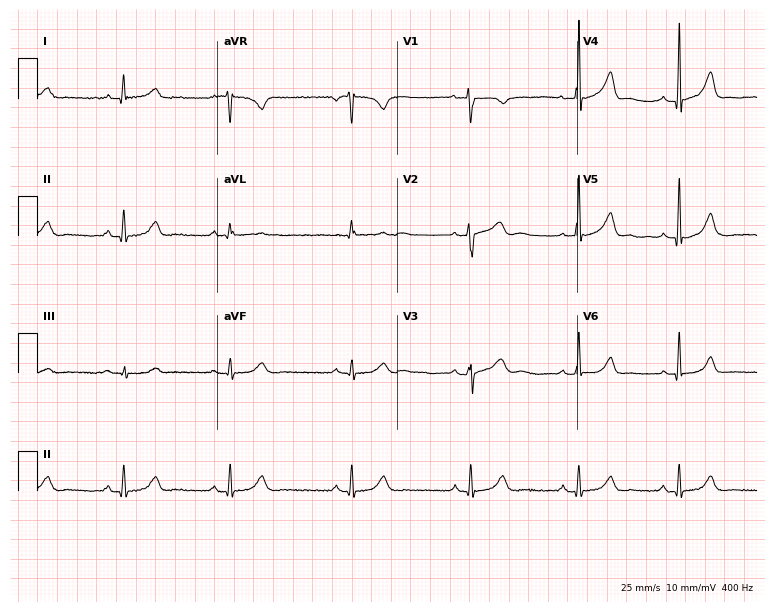
Standard 12-lead ECG recorded from a woman, 38 years old (7.3-second recording at 400 Hz). None of these six findings is recorded: first-degree AV block, right bundle branch block, left bundle branch block, sinus bradycardia, atrial fibrillation, sinus tachycardia.